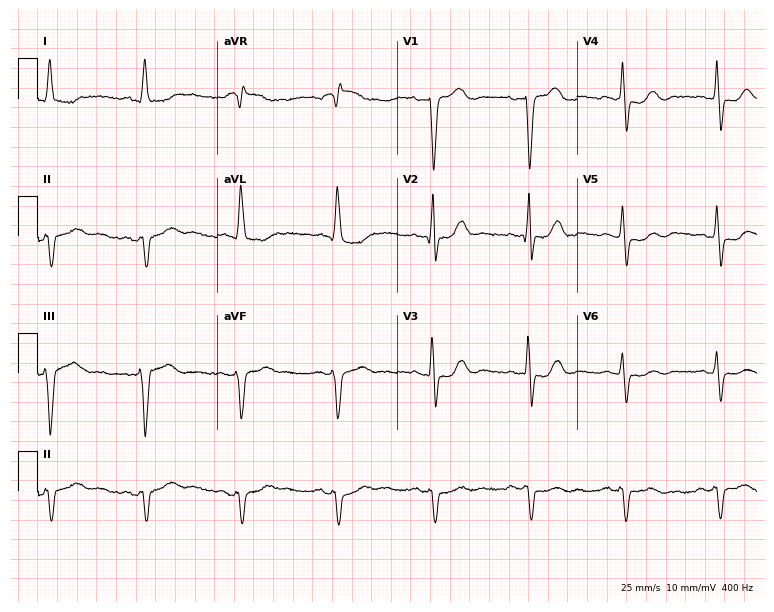
Electrocardiogram, a male patient, 82 years old. Of the six screened findings (first-degree AV block, right bundle branch block (RBBB), left bundle branch block (LBBB), sinus bradycardia, atrial fibrillation (AF), sinus tachycardia), none is recorded. Other findings, if any, are not listed.